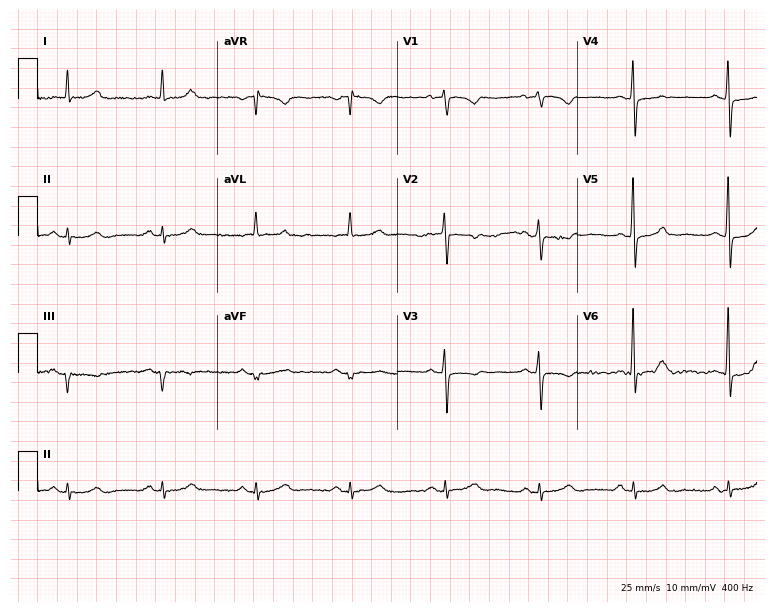
Electrocardiogram, a 75-year-old female patient. Overall reading on record: normal ECG.